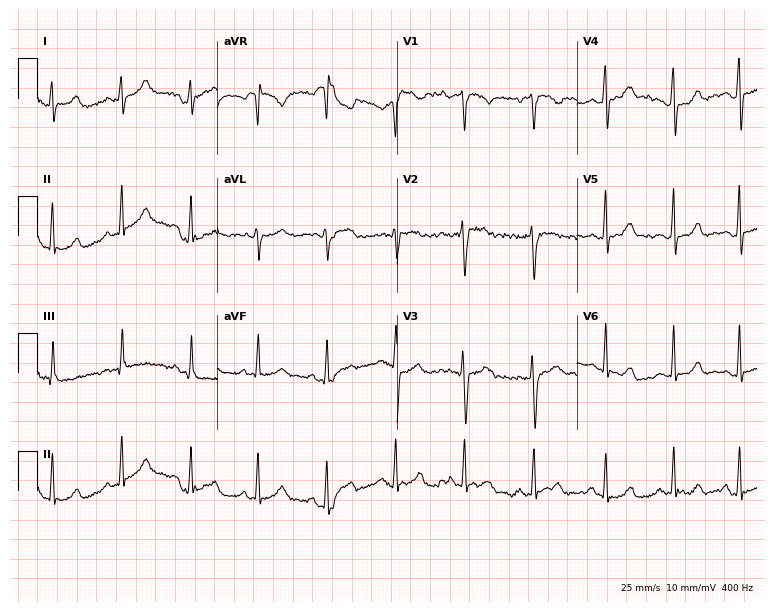
ECG (7.3-second recording at 400 Hz) — a 19-year-old female patient. Labelled as a normal ECG.